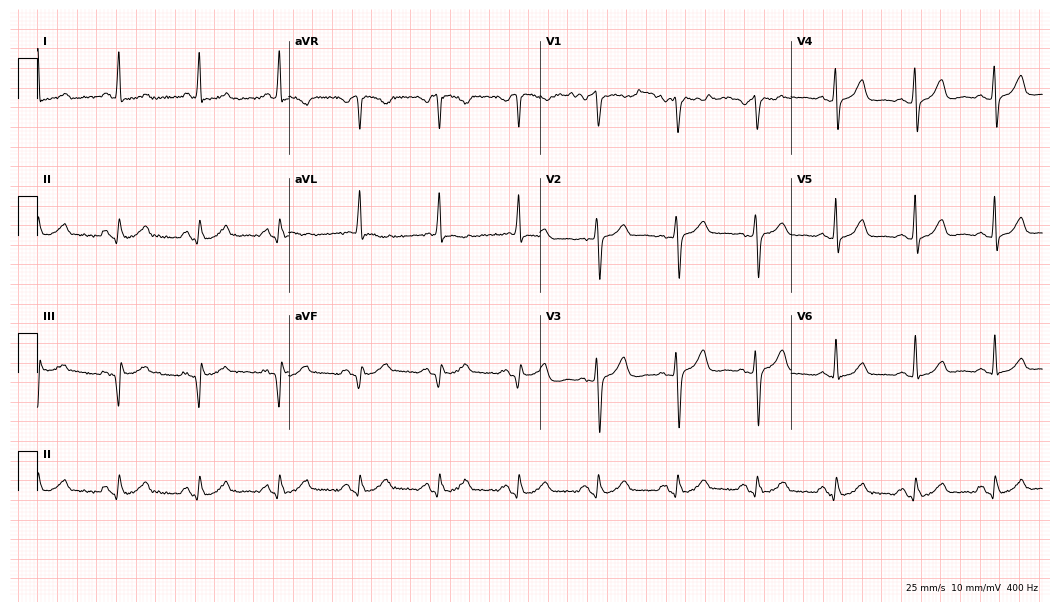
ECG — a 53-year-old woman. Screened for six findings — first-degree AV block, right bundle branch block, left bundle branch block, sinus bradycardia, atrial fibrillation, sinus tachycardia — none is recorded. Findings outside these six are not listed.